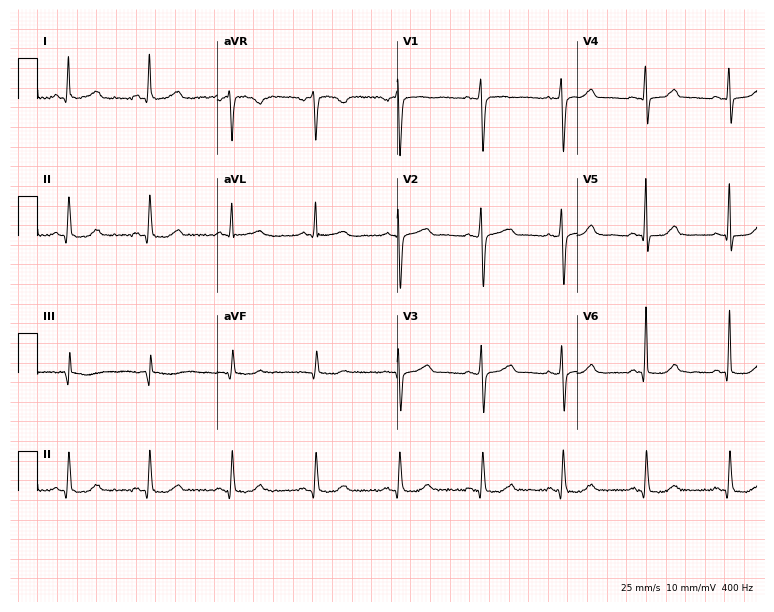
12-lead ECG (7.3-second recording at 400 Hz) from a 54-year-old female patient. Labelled as a normal ECG.